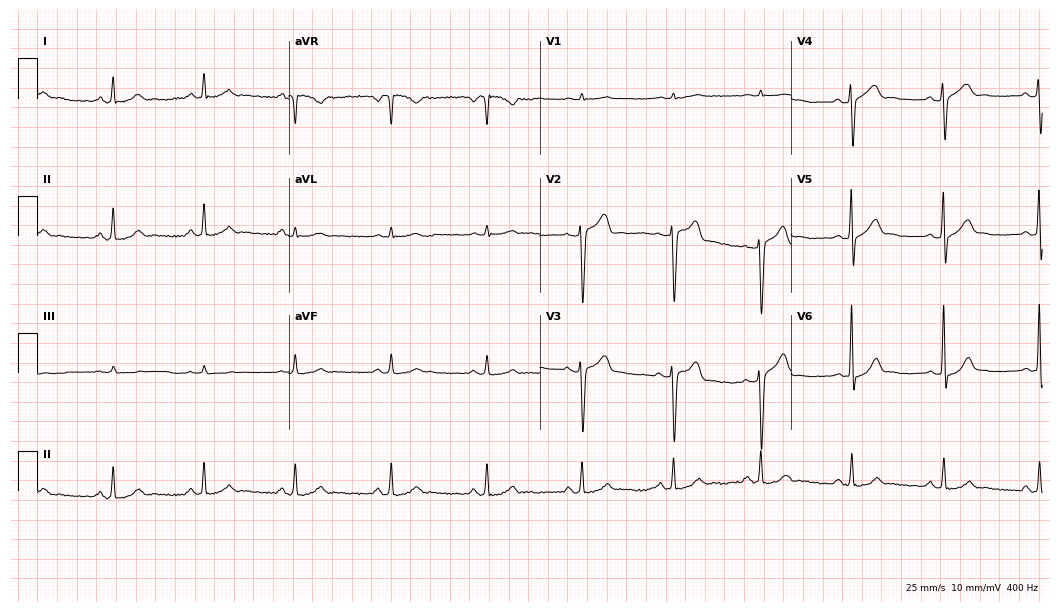
Electrocardiogram (10.2-second recording at 400 Hz), a male patient, 31 years old. Overall reading on record: normal ECG.